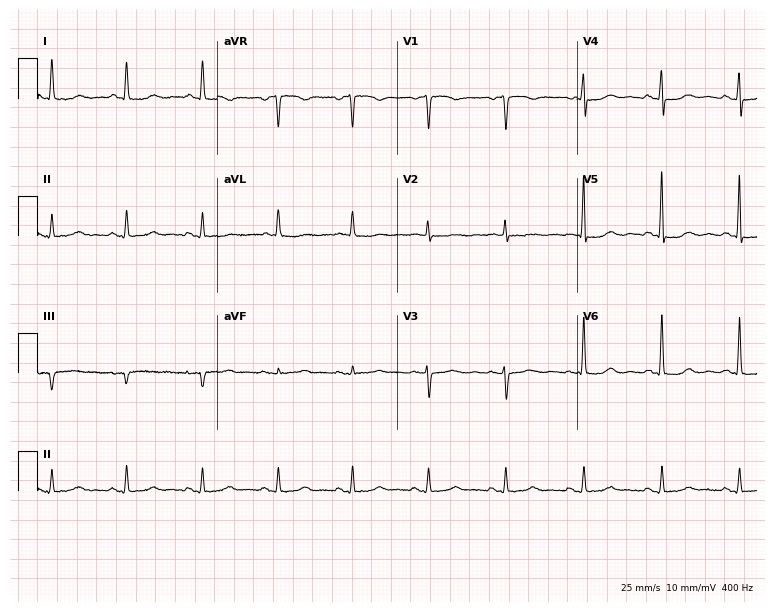
12-lead ECG (7.3-second recording at 400 Hz) from a woman, 63 years old. Screened for six findings — first-degree AV block, right bundle branch block, left bundle branch block, sinus bradycardia, atrial fibrillation, sinus tachycardia — none is recorded. Only these six findings were labelled.